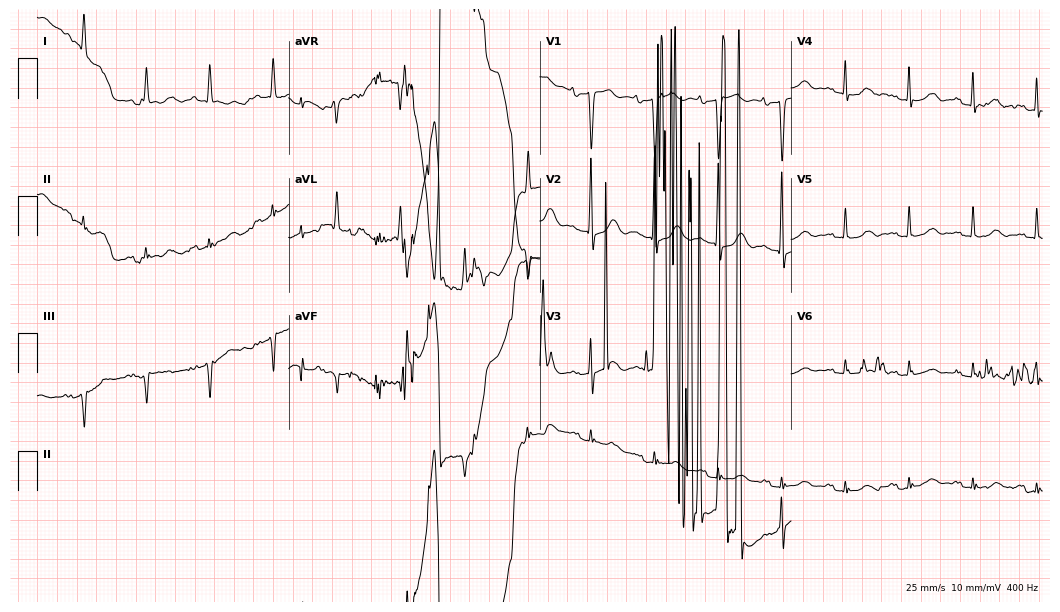
Electrocardiogram (10.2-second recording at 400 Hz), an 85-year-old female. Of the six screened findings (first-degree AV block, right bundle branch block (RBBB), left bundle branch block (LBBB), sinus bradycardia, atrial fibrillation (AF), sinus tachycardia), none is recorded. Only these six findings were labelled.